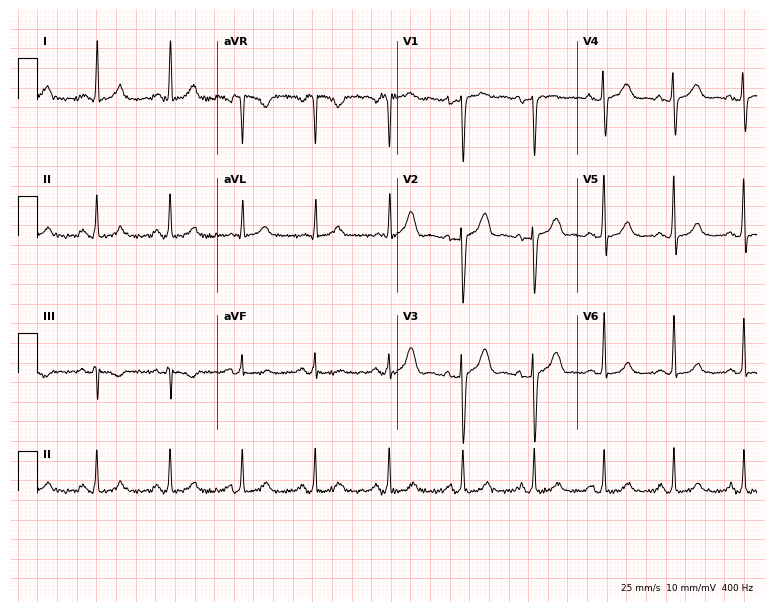
ECG (7.3-second recording at 400 Hz) — a 33-year-old woman. Screened for six findings — first-degree AV block, right bundle branch block, left bundle branch block, sinus bradycardia, atrial fibrillation, sinus tachycardia — none is recorded.